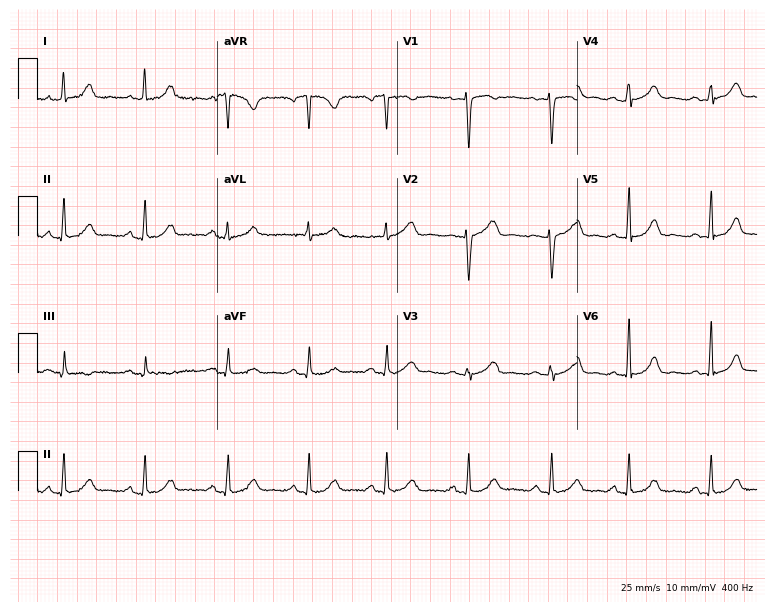
Standard 12-lead ECG recorded from a 50-year-old female patient. Read as a normal ECG.